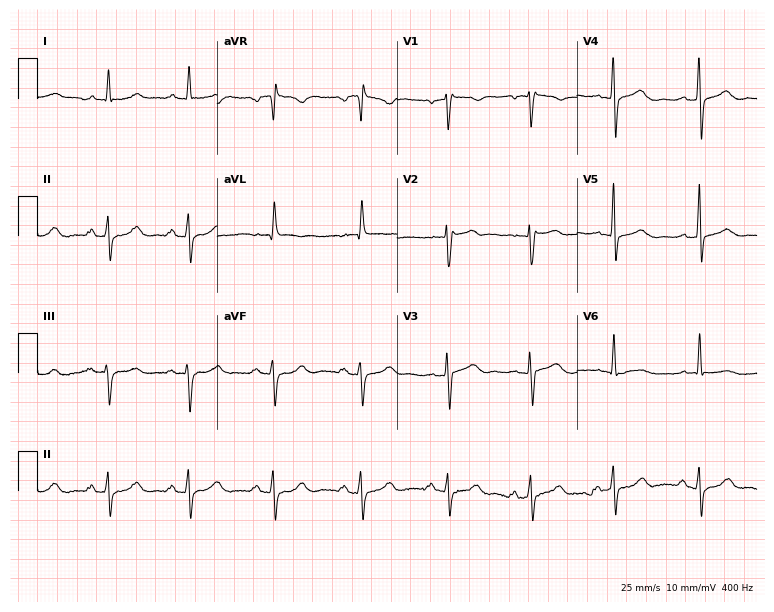
ECG — a 60-year-old woman. Screened for six findings — first-degree AV block, right bundle branch block (RBBB), left bundle branch block (LBBB), sinus bradycardia, atrial fibrillation (AF), sinus tachycardia — none is recorded.